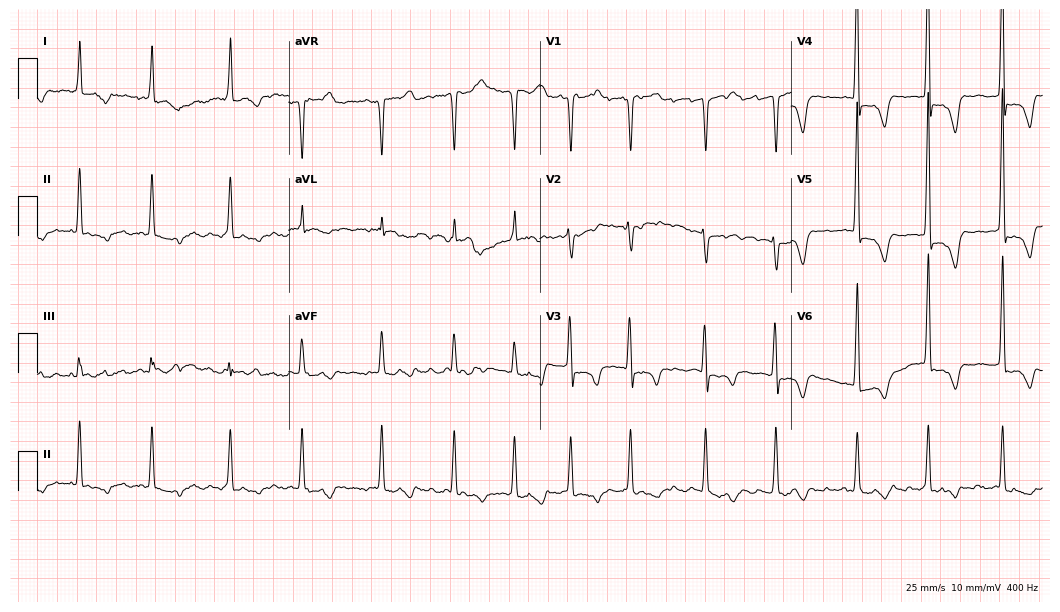
Standard 12-lead ECG recorded from a female patient, 80 years old. The tracing shows atrial fibrillation (AF).